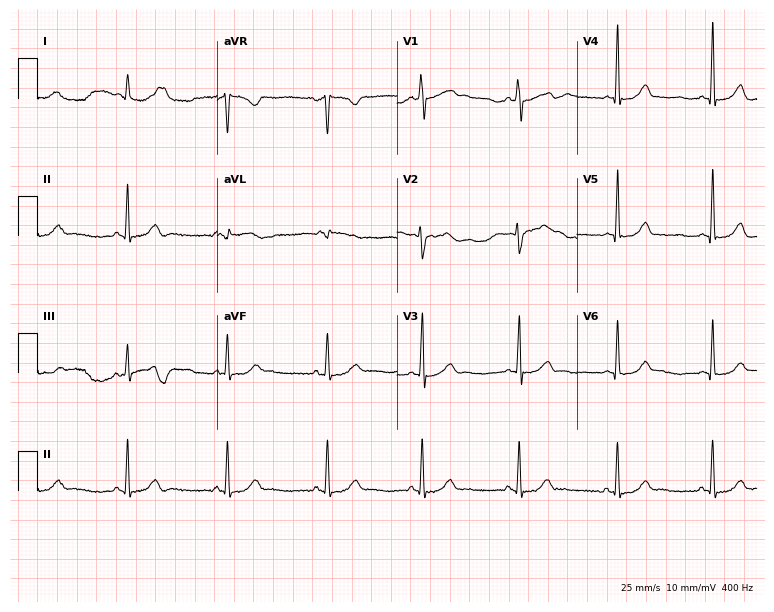
Standard 12-lead ECG recorded from a female, 40 years old (7.3-second recording at 400 Hz). Read as a normal ECG.